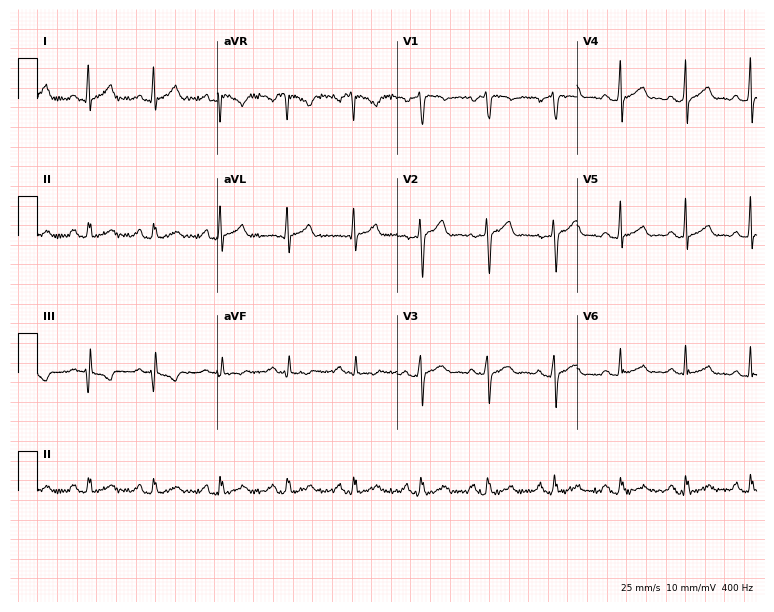
Electrocardiogram, a 40-year-old male. Overall reading on record: normal ECG.